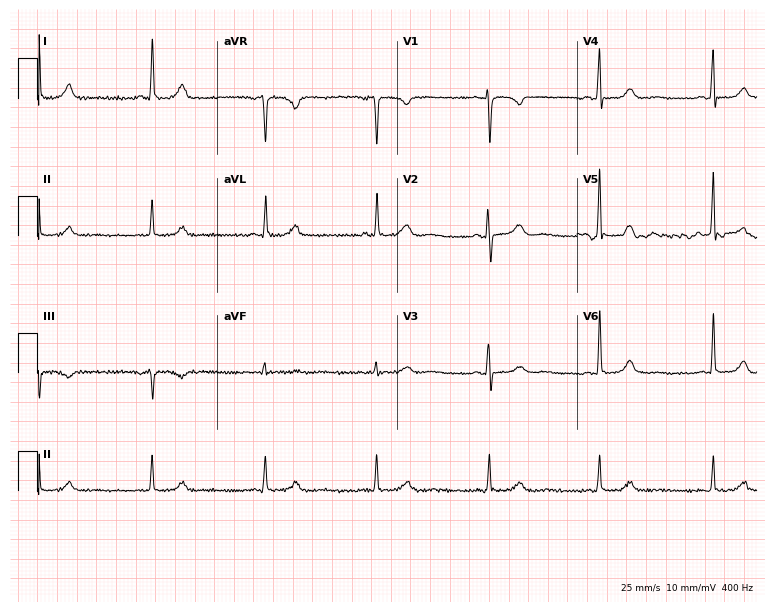
Resting 12-lead electrocardiogram (7.3-second recording at 400 Hz). Patient: a 59-year-old woman. Read as a normal ECG.